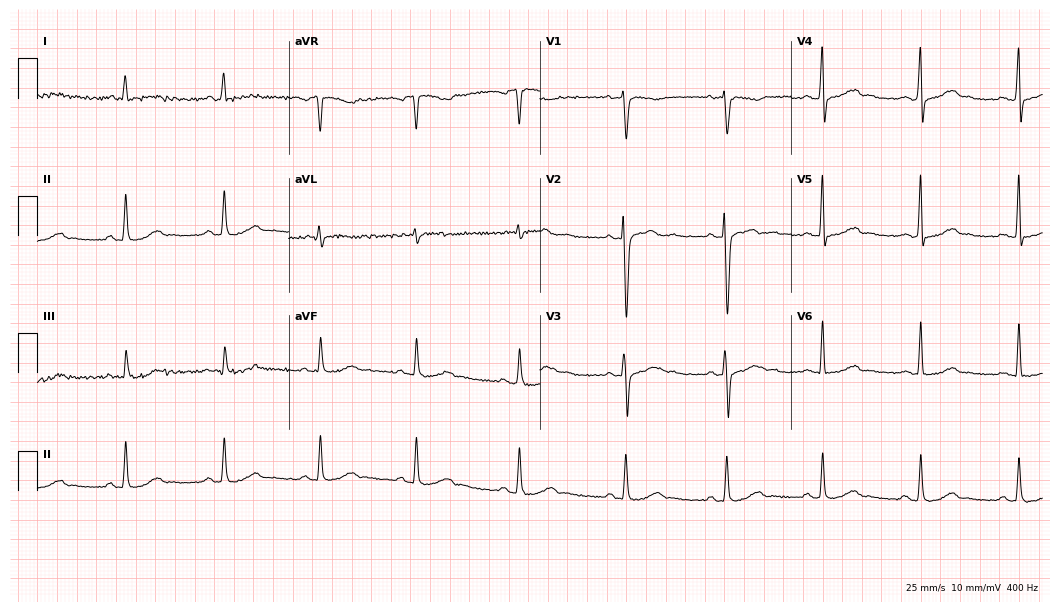
Standard 12-lead ECG recorded from a 36-year-old woman (10.2-second recording at 400 Hz). Read as a normal ECG.